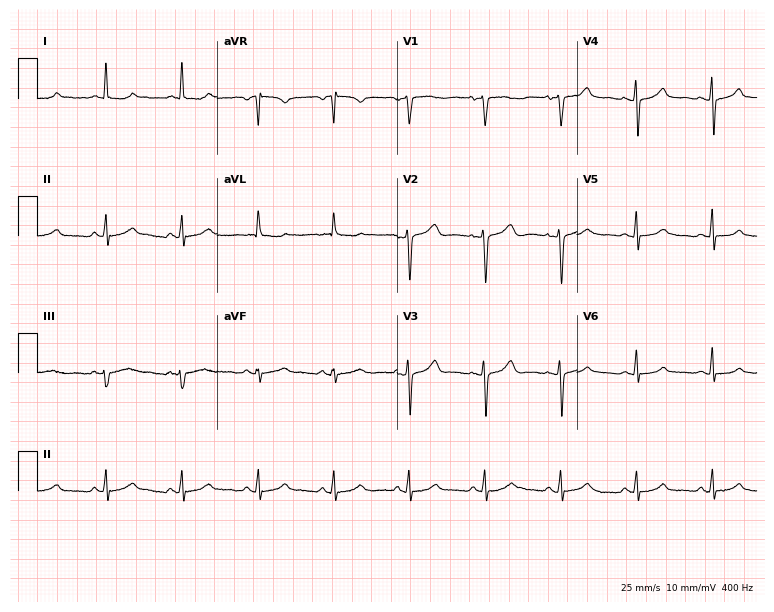
ECG (7.3-second recording at 400 Hz) — a 46-year-old woman. Labelled as a normal ECG.